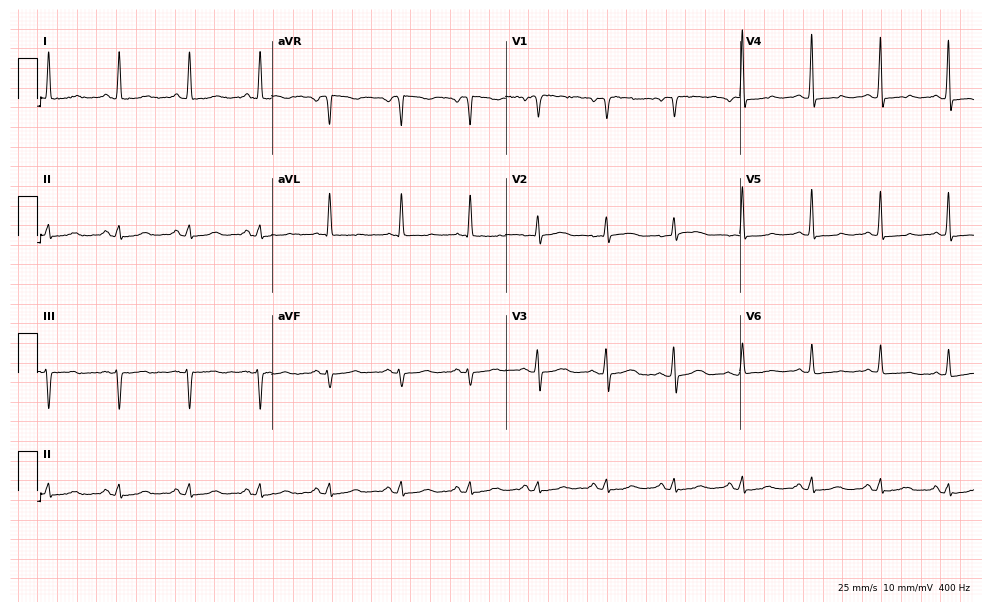
Standard 12-lead ECG recorded from a 73-year-old female patient. None of these six findings is recorded: first-degree AV block, right bundle branch block (RBBB), left bundle branch block (LBBB), sinus bradycardia, atrial fibrillation (AF), sinus tachycardia. Only these six findings were labelled.